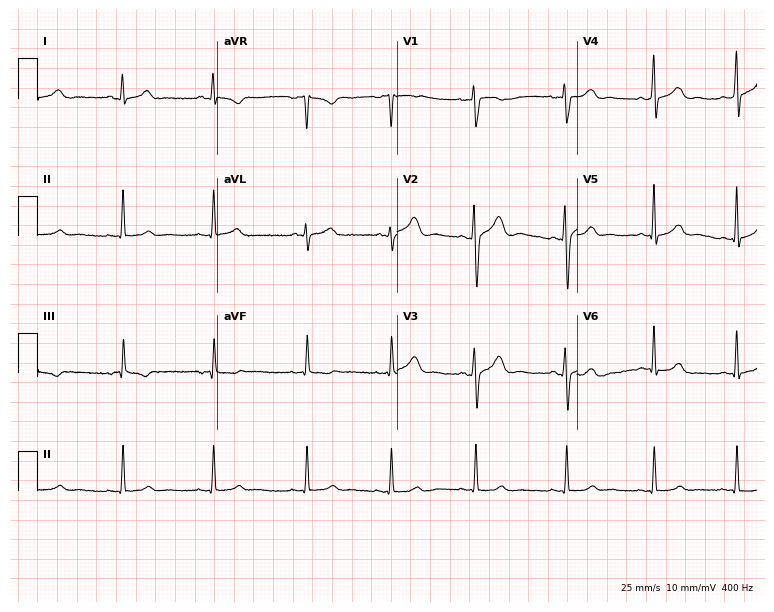
Standard 12-lead ECG recorded from a 38-year-old female patient (7.3-second recording at 400 Hz). None of these six findings is recorded: first-degree AV block, right bundle branch block (RBBB), left bundle branch block (LBBB), sinus bradycardia, atrial fibrillation (AF), sinus tachycardia.